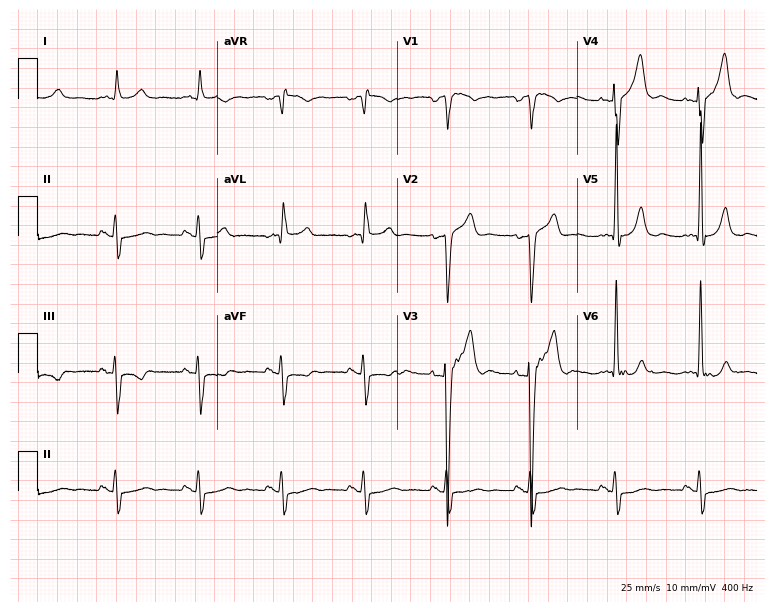
Resting 12-lead electrocardiogram. Patient: a 74-year-old male. None of these six findings is recorded: first-degree AV block, right bundle branch block, left bundle branch block, sinus bradycardia, atrial fibrillation, sinus tachycardia. Findings outside these six are not listed.